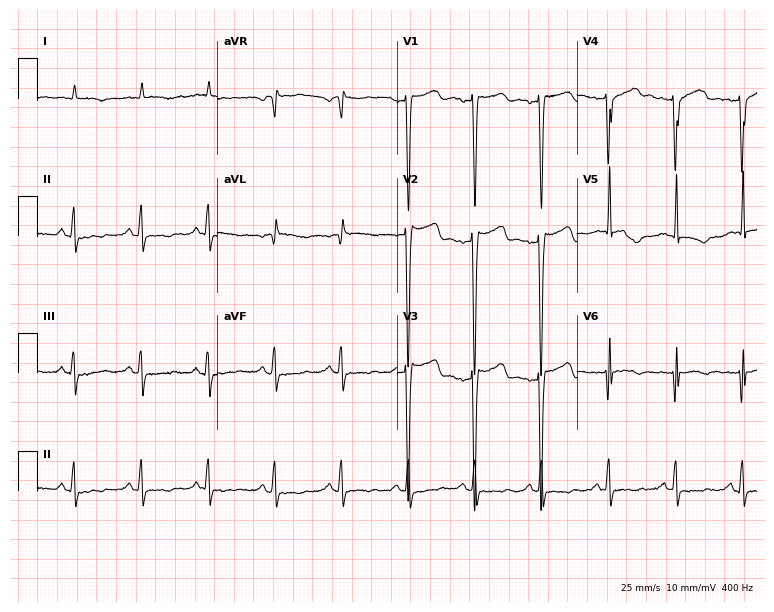
Resting 12-lead electrocardiogram. Patient: a woman, 85 years old. None of these six findings is recorded: first-degree AV block, right bundle branch block, left bundle branch block, sinus bradycardia, atrial fibrillation, sinus tachycardia. Findings outside these six are not listed.